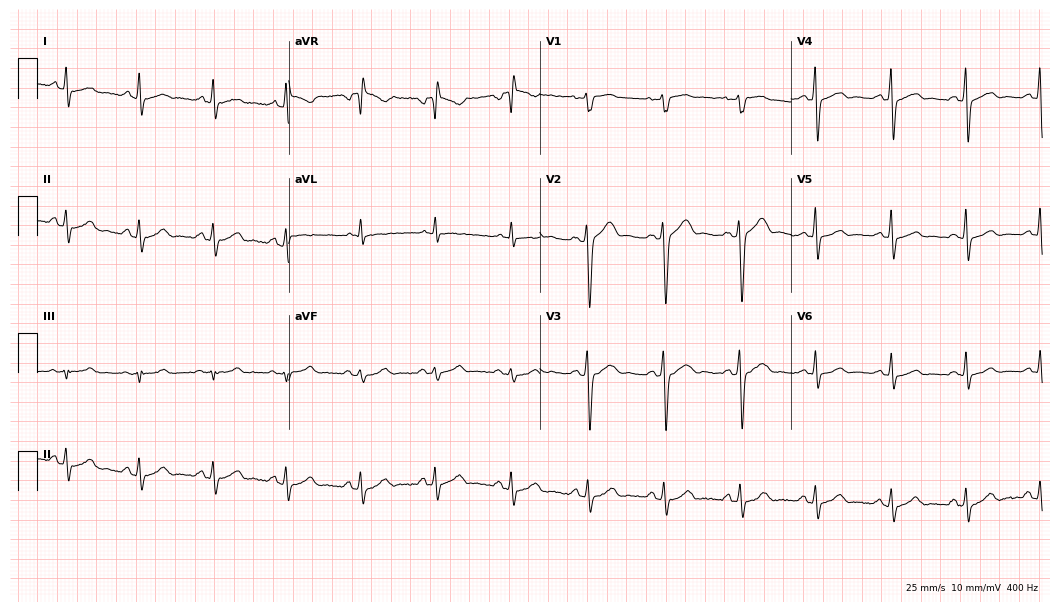
Electrocardiogram, a male, 28 years old. Of the six screened findings (first-degree AV block, right bundle branch block, left bundle branch block, sinus bradycardia, atrial fibrillation, sinus tachycardia), none is recorded. Other findings, if any, are not listed.